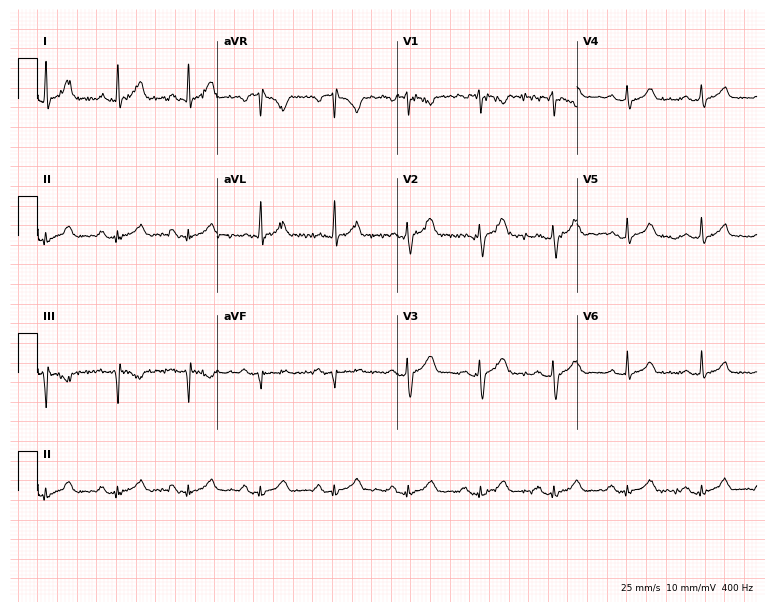
Resting 12-lead electrocardiogram (7.3-second recording at 400 Hz). Patient: a 31-year-old male. Read as a normal ECG.